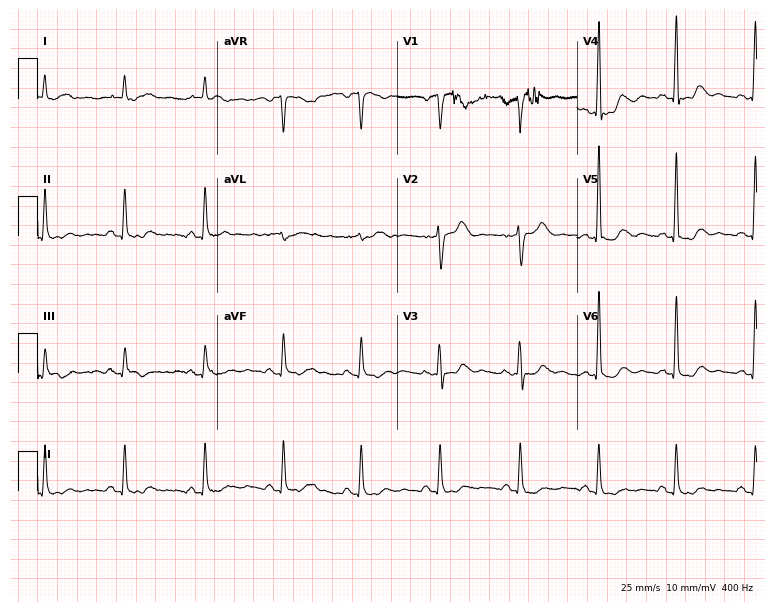
Standard 12-lead ECG recorded from a woman, 81 years old. None of these six findings is recorded: first-degree AV block, right bundle branch block, left bundle branch block, sinus bradycardia, atrial fibrillation, sinus tachycardia. Only these six findings were labelled.